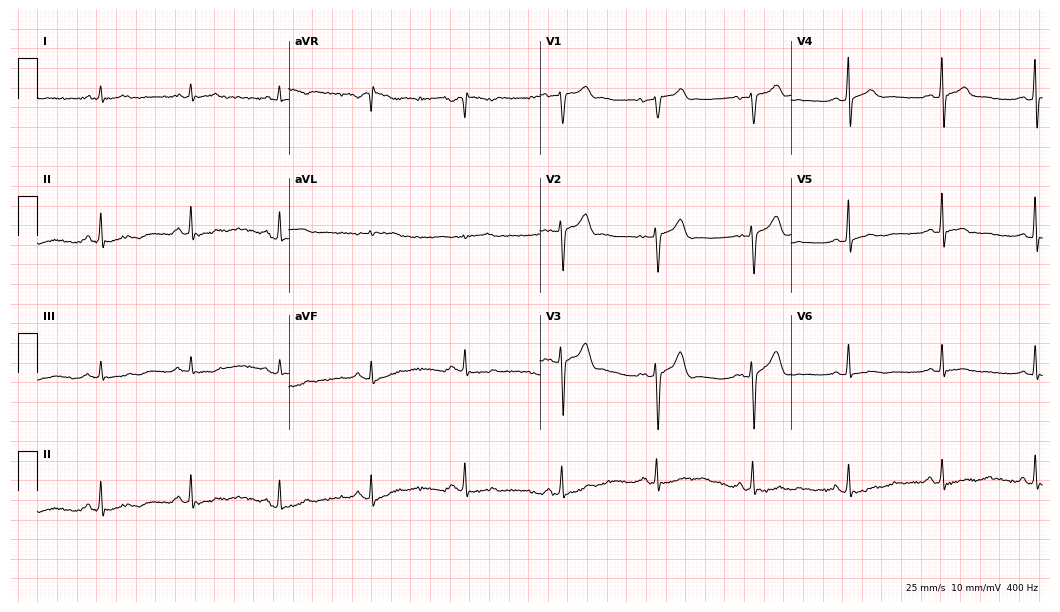
12-lead ECG from a male, 51 years old. No first-degree AV block, right bundle branch block (RBBB), left bundle branch block (LBBB), sinus bradycardia, atrial fibrillation (AF) or sinus tachycardia recorded for this tracing.